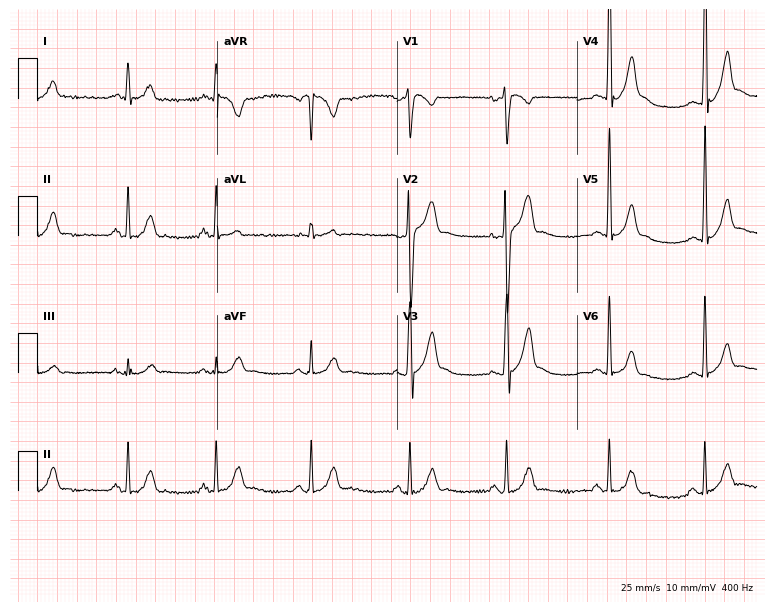
ECG (7.3-second recording at 400 Hz) — a male, 36 years old. Screened for six findings — first-degree AV block, right bundle branch block, left bundle branch block, sinus bradycardia, atrial fibrillation, sinus tachycardia — none is recorded.